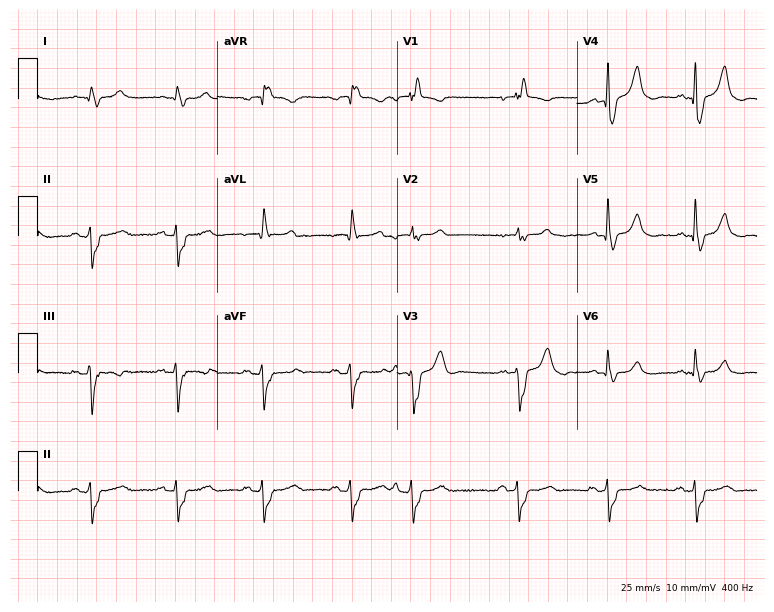
12-lead ECG from a male patient, 76 years old. Shows right bundle branch block (RBBB).